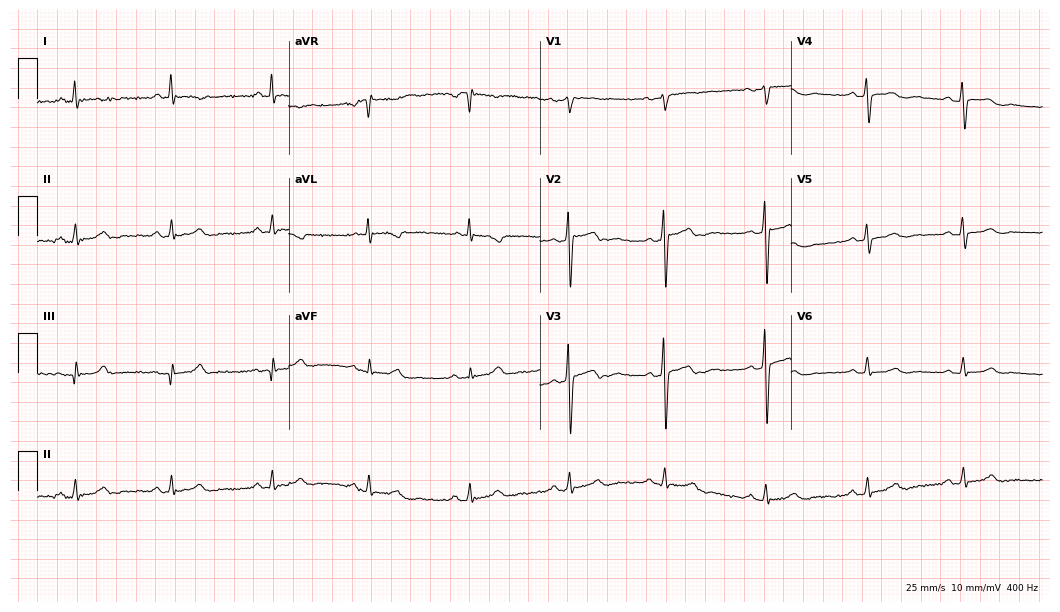
ECG — a female, 53 years old. Screened for six findings — first-degree AV block, right bundle branch block, left bundle branch block, sinus bradycardia, atrial fibrillation, sinus tachycardia — none is recorded. Other findings, if any, are not listed.